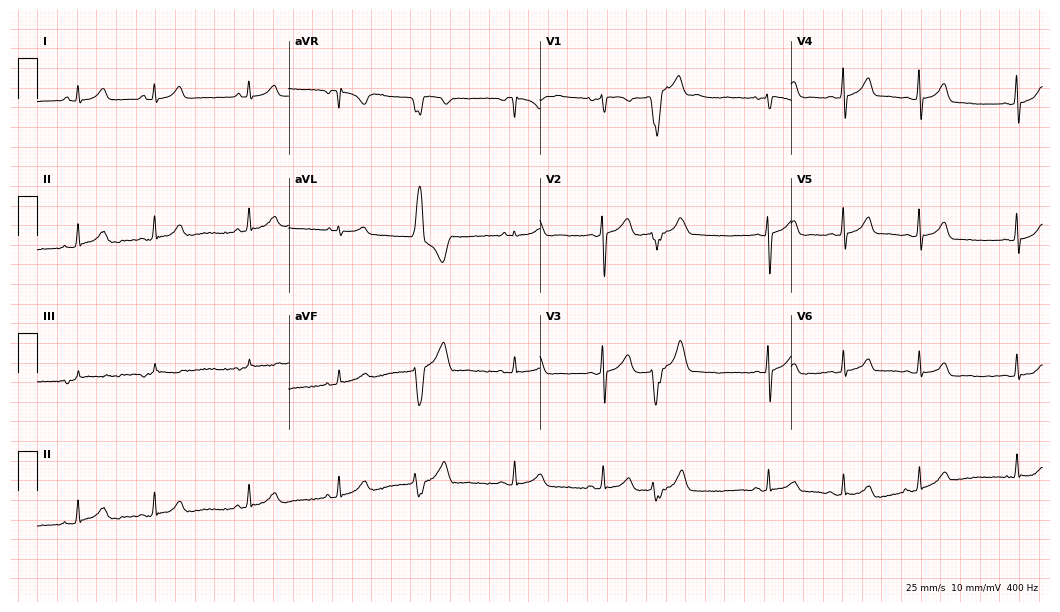
12-lead ECG from an 18-year-old woman. No first-degree AV block, right bundle branch block, left bundle branch block, sinus bradycardia, atrial fibrillation or sinus tachycardia recorded for this tracing. Findings outside these six are not listed.